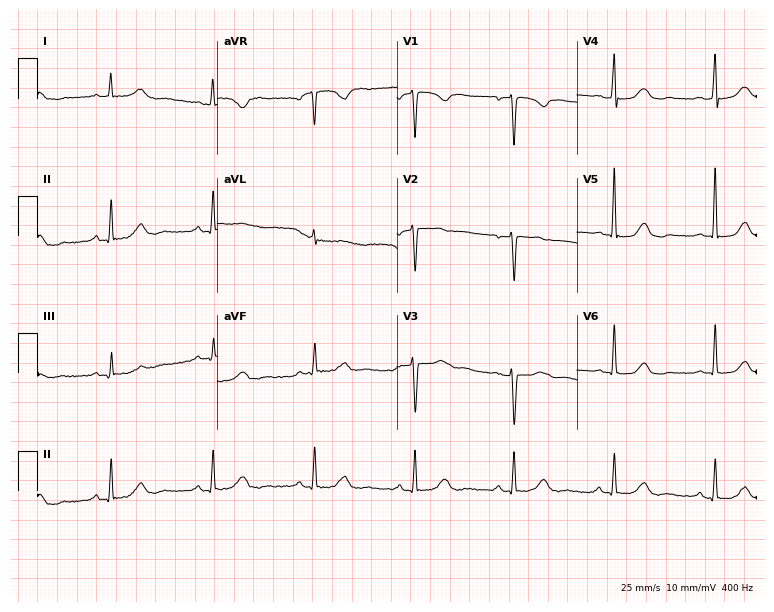
Standard 12-lead ECG recorded from a woman, 54 years old. None of these six findings is recorded: first-degree AV block, right bundle branch block, left bundle branch block, sinus bradycardia, atrial fibrillation, sinus tachycardia.